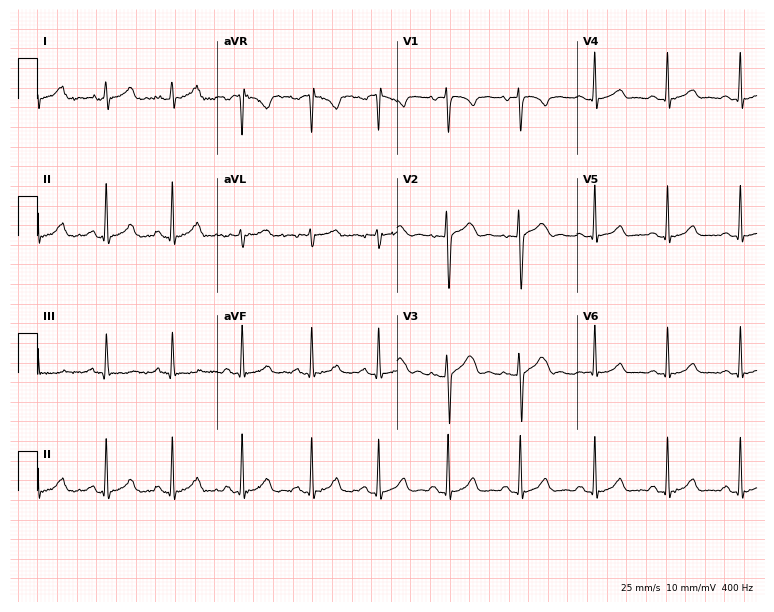
Resting 12-lead electrocardiogram (7.3-second recording at 400 Hz). Patient: a 30-year-old woman. Read as a normal ECG.